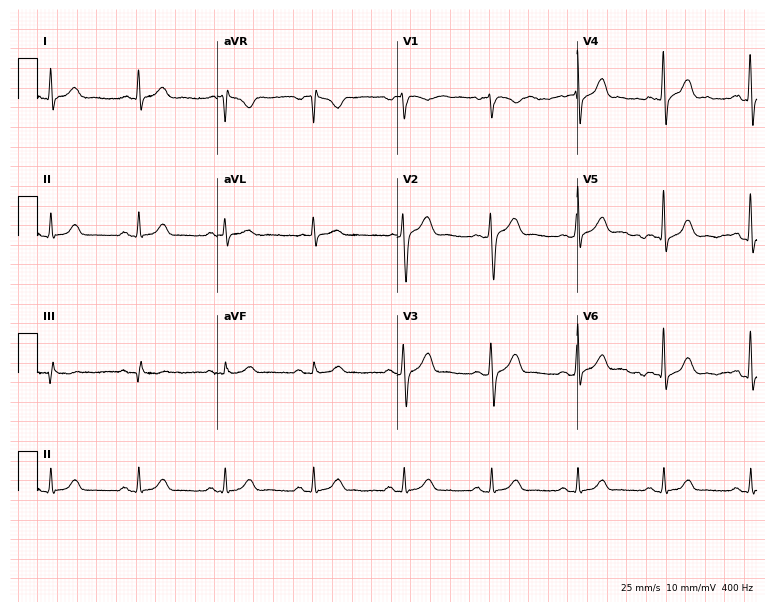
Electrocardiogram, a 41-year-old male patient. Overall reading on record: normal ECG.